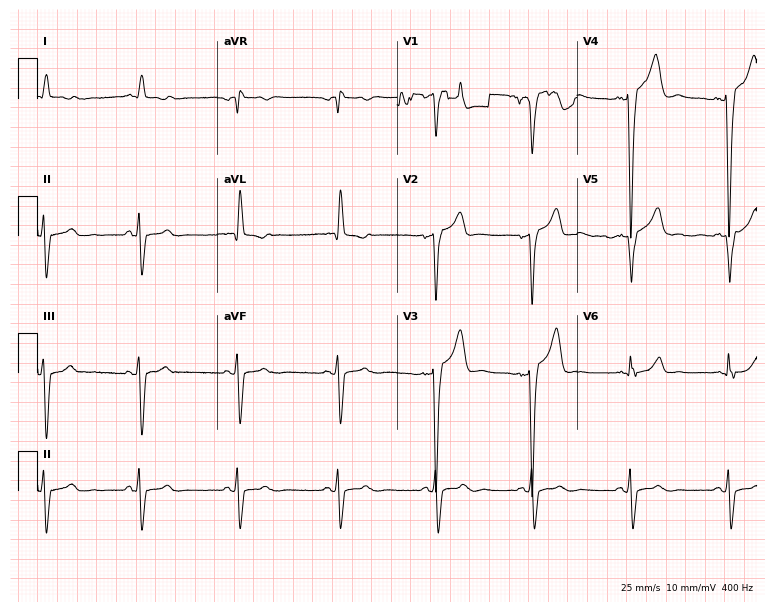
Electrocardiogram, a male patient, 72 years old. Of the six screened findings (first-degree AV block, right bundle branch block, left bundle branch block, sinus bradycardia, atrial fibrillation, sinus tachycardia), none is recorded. Only these six findings were labelled.